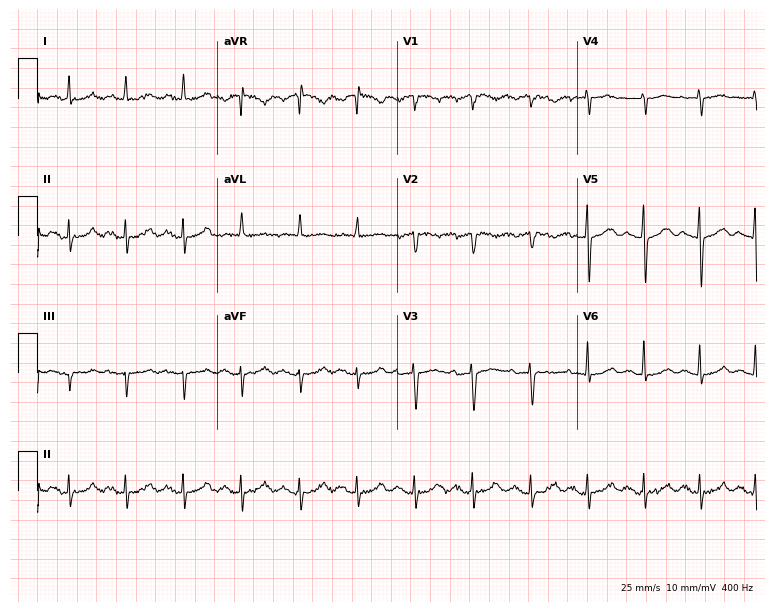
Resting 12-lead electrocardiogram. Patient: a female, 68 years old. The tracing shows sinus tachycardia (a sinus rate of 100 beats per minute or more).